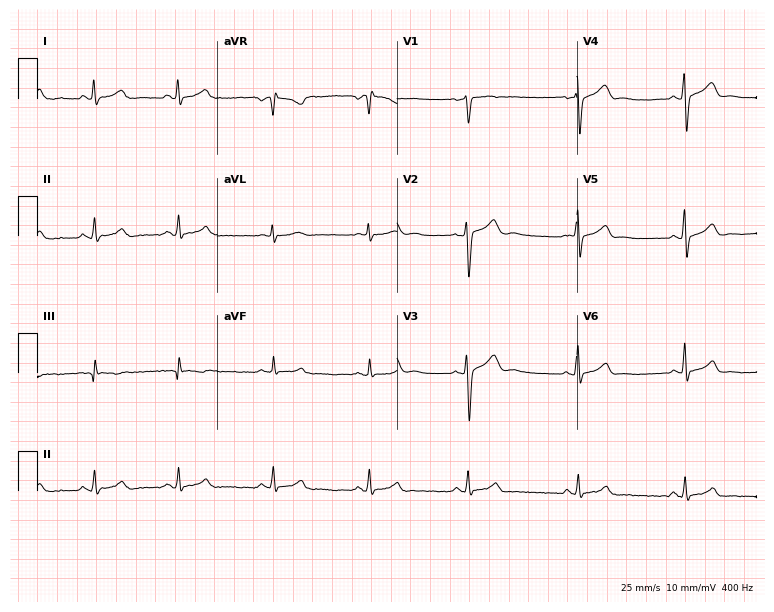
Standard 12-lead ECG recorded from a 30-year-old man. None of these six findings is recorded: first-degree AV block, right bundle branch block, left bundle branch block, sinus bradycardia, atrial fibrillation, sinus tachycardia.